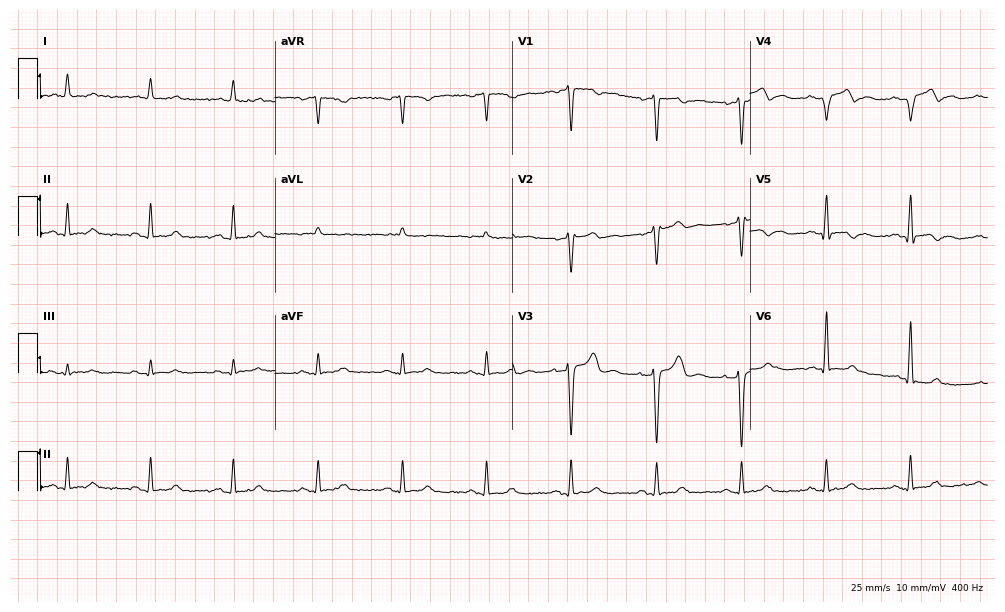
Resting 12-lead electrocardiogram (9.7-second recording at 400 Hz). Patient: a male, 83 years old. None of these six findings is recorded: first-degree AV block, right bundle branch block, left bundle branch block, sinus bradycardia, atrial fibrillation, sinus tachycardia. Other findings, if any, are not listed.